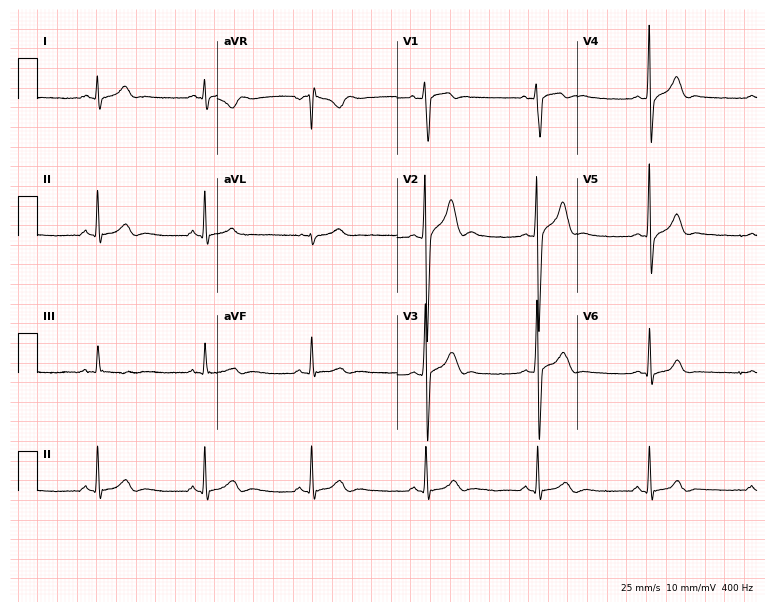
12-lead ECG from an 18-year-old male patient. No first-degree AV block, right bundle branch block, left bundle branch block, sinus bradycardia, atrial fibrillation or sinus tachycardia recorded for this tracing. Findings outside these six are not listed.